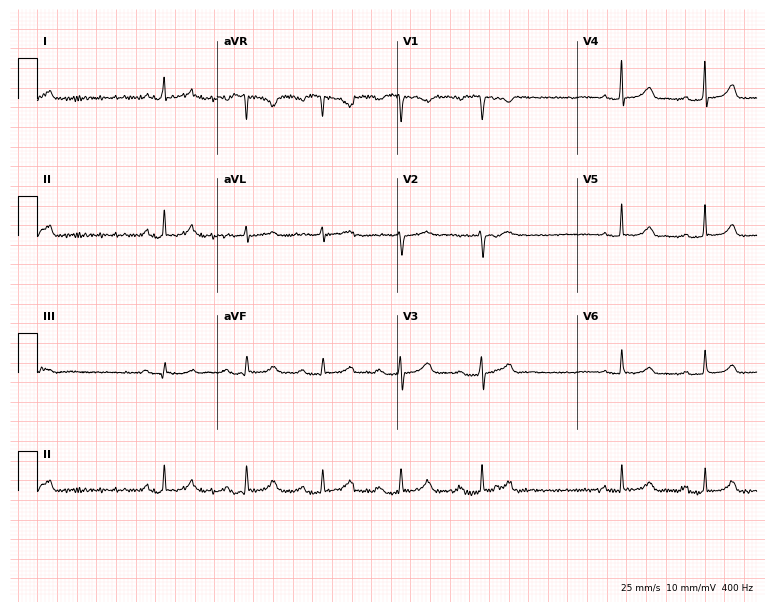
12-lead ECG from a 32-year-old female. Screened for six findings — first-degree AV block, right bundle branch block, left bundle branch block, sinus bradycardia, atrial fibrillation, sinus tachycardia — none is recorded. Findings outside these six are not listed.